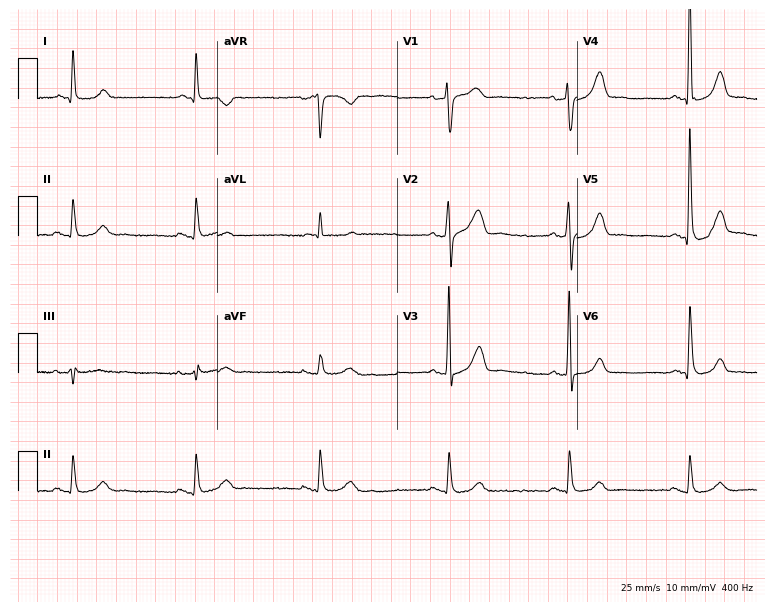
12-lead ECG (7.3-second recording at 400 Hz) from a male, 70 years old. Findings include sinus bradycardia (a sinus rate of 50 beats per minute or less).